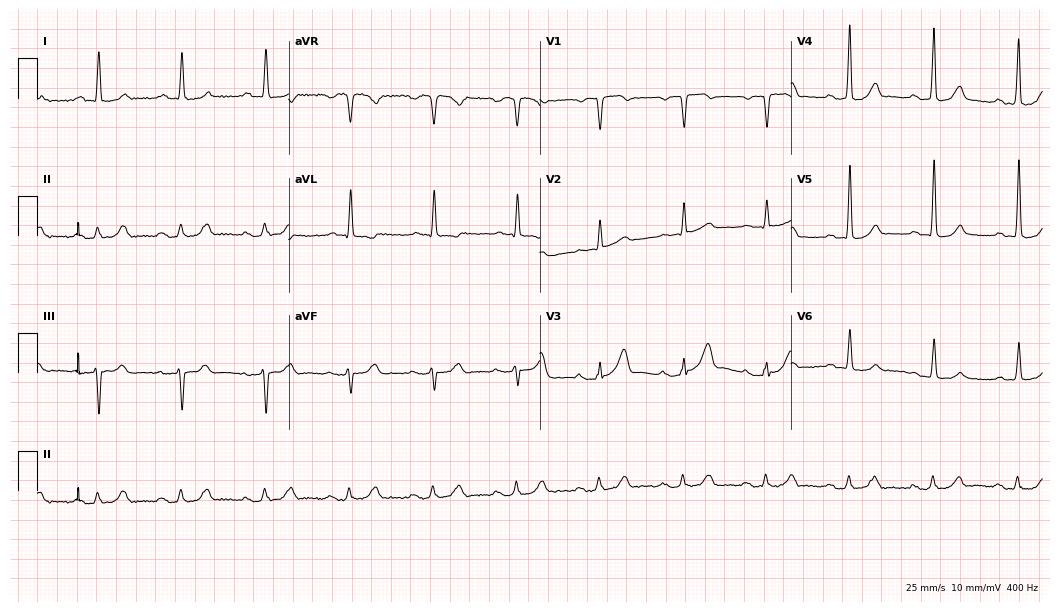
Standard 12-lead ECG recorded from an 80-year-old male patient. None of these six findings is recorded: first-degree AV block, right bundle branch block (RBBB), left bundle branch block (LBBB), sinus bradycardia, atrial fibrillation (AF), sinus tachycardia. Other findings, if any, are not listed.